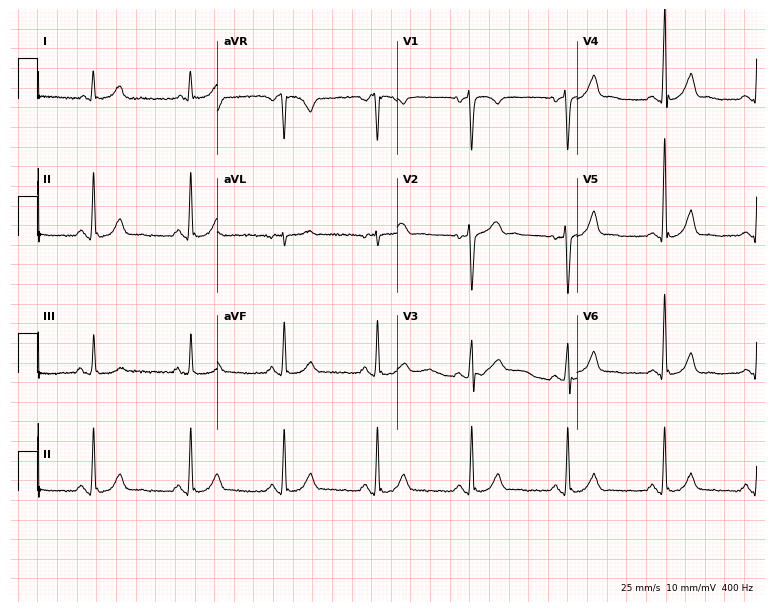
Electrocardiogram, a 39-year-old male. Of the six screened findings (first-degree AV block, right bundle branch block, left bundle branch block, sinus bradycardia, atrial fibrillation, sinus tachycardia), none is recorded. Findings outside these six are not listed.